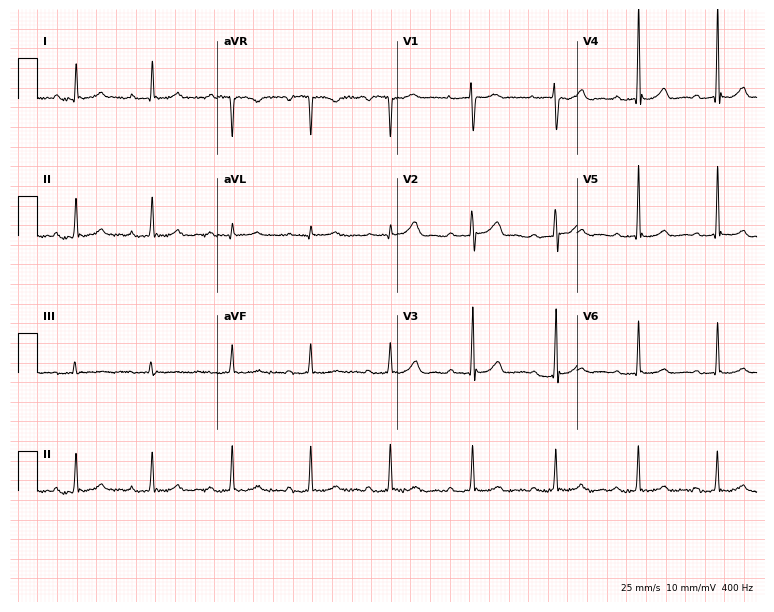
12-lead ECG (7.3-second recording at 400 Hz) from a female patient, 30 years old. Findings include first-degree AV block.